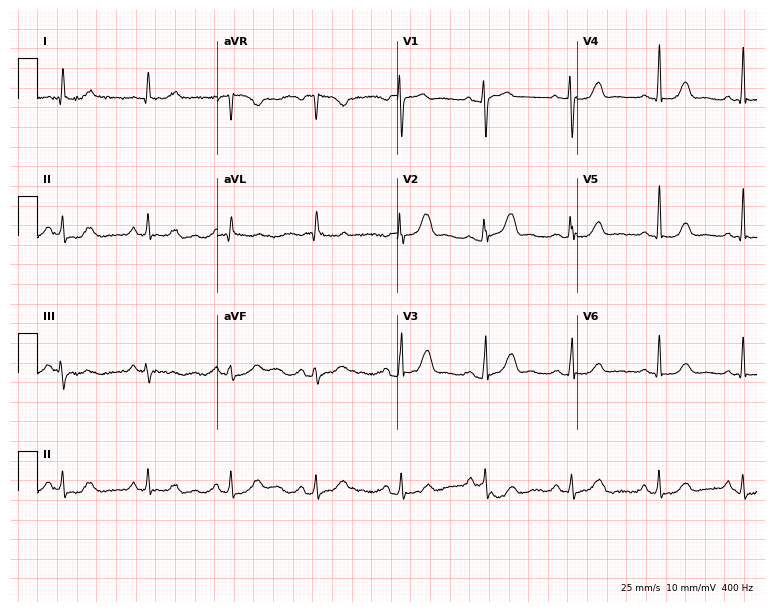
ECG — a female patient, 65 years old. Labelled as a normal ECG.